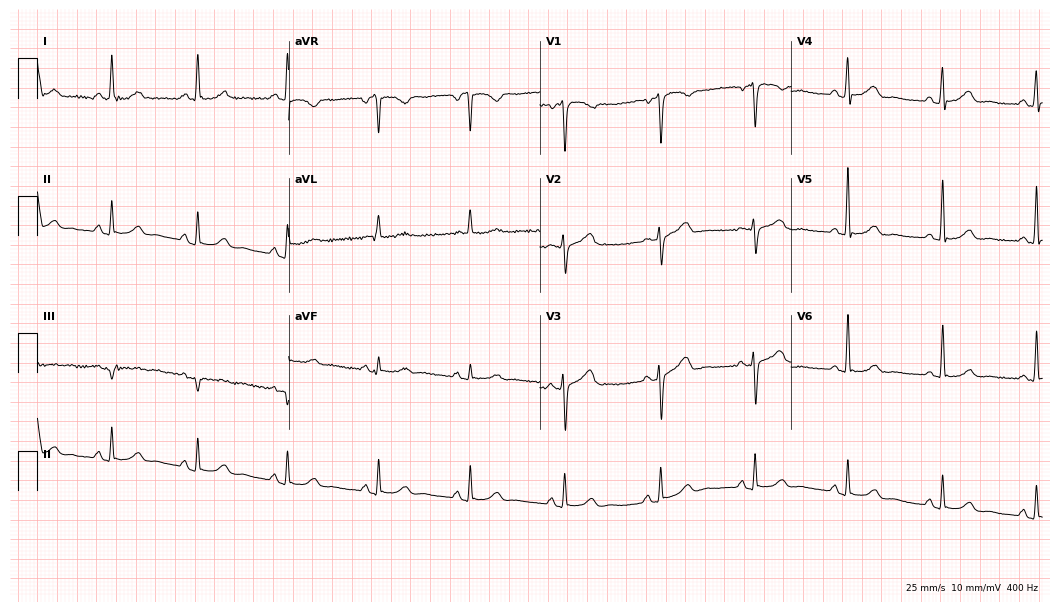
ECG — a 61-year-old female. Labelled as a normal ECG.